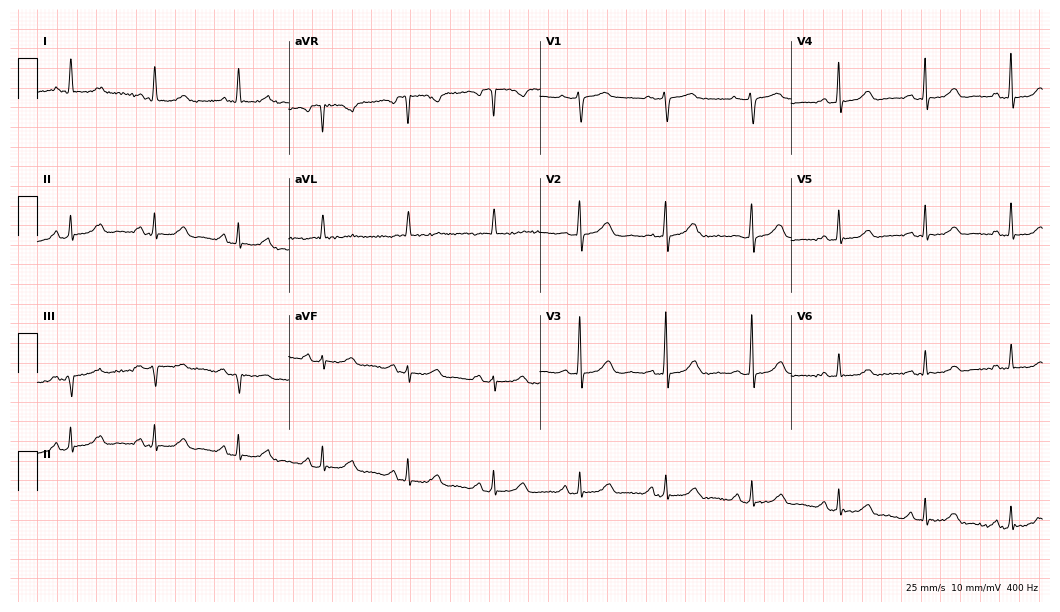
12-lead ECG from a woman, 74 years old (10.2-second recording at 400 Hz). Recorded interpretation: within normal limits.